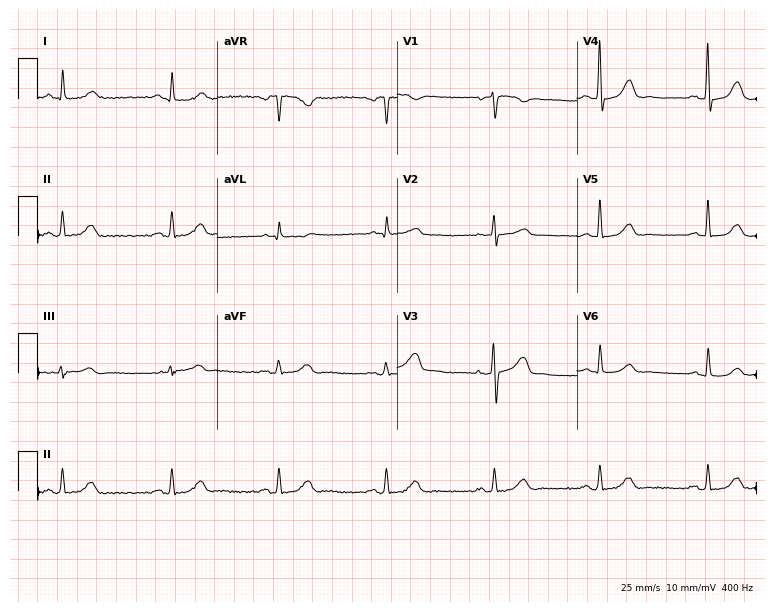
Resting 12-lead electrocardiogram (7.3-second recording at 400 Hz). Patient: a 62-year-old woman. None of these six findings is recorded: first-degree AV block, right bundle branch block, left bundle branch block, sinus bradycardia, atrial fibrillation, sinus tachycardia.